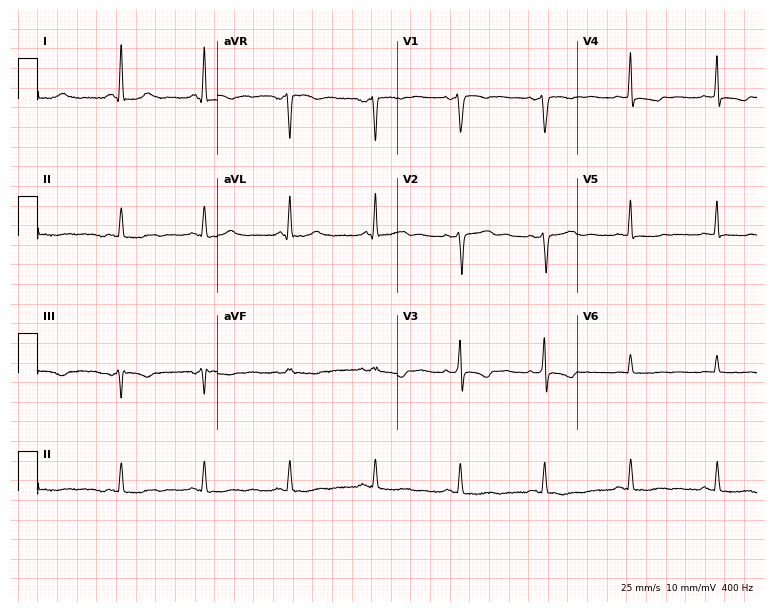
12-lead ECG from a 65-year-old female patient (7.3-second recording at 400 Hz). No first-degree AV block, right bundle branch block, left bundle branch block, sinus bradycardia, atrial fibrillation or sinus tachycardia recorded for this tracing. Other findings, if any, are not listed.